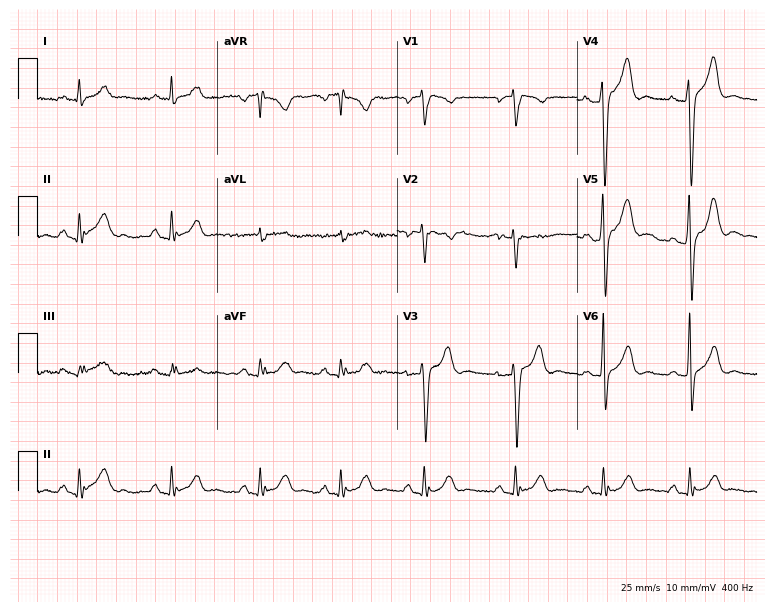
Resting 12-lead electrocardiogram (7.3-second recording at 400 Hz). Patient: a 22-year-old man. Read as a normal ECG.